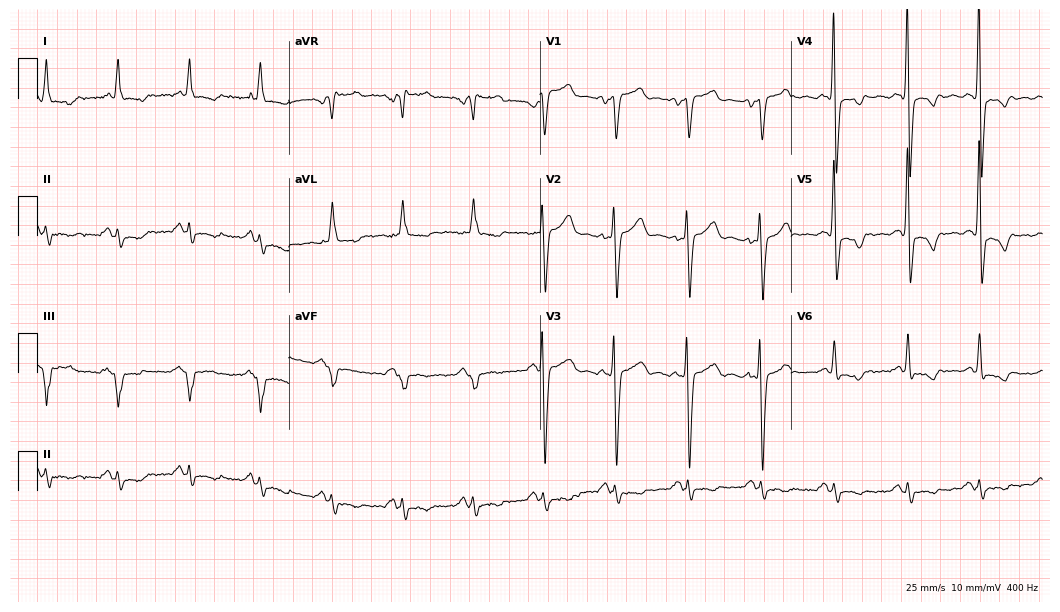
12-lead ECG from a man, 63 years old (10.2-second recording at 400 Hz). No first-degree AV block, right bundle branch block, left bundle branch block, sinus bradycardia, atrial fibrillation or sinus tachycardia recorded for this tracing. Only these six findings were labelled.